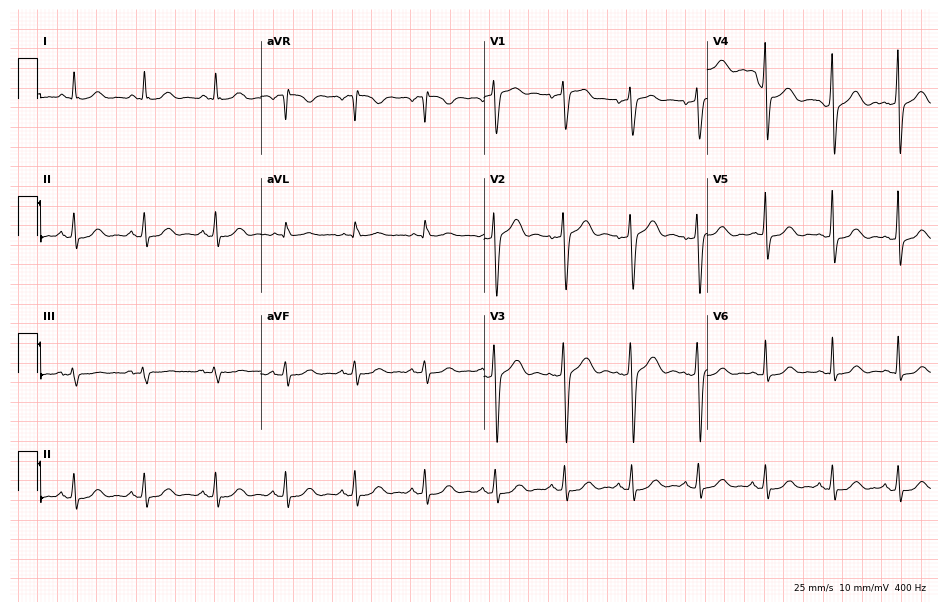
Electrocardiogram (9.1-second recording at 400 Hz), a male, 51 years old. Overall reading on record: normal ECG.